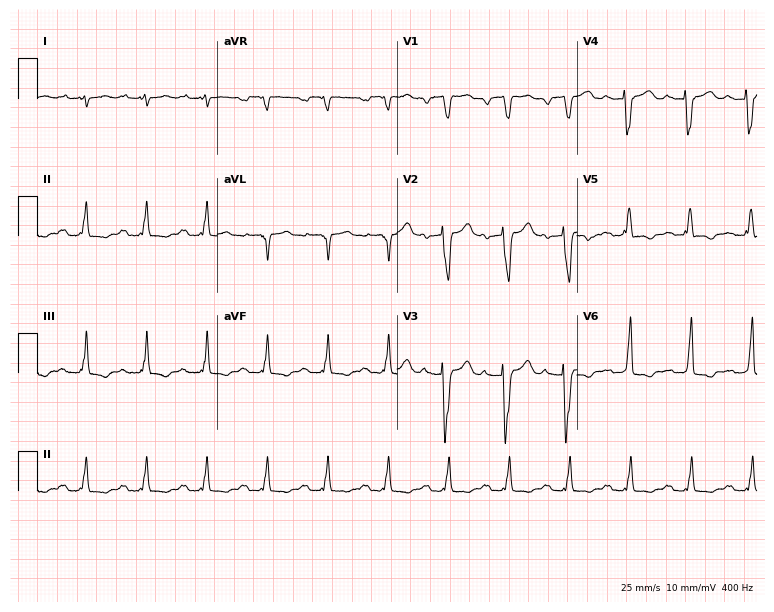
Electrocardiogram, a 51-year-old man. Interpretation includes first-degree AV block, left bundle branch block (LBBB).